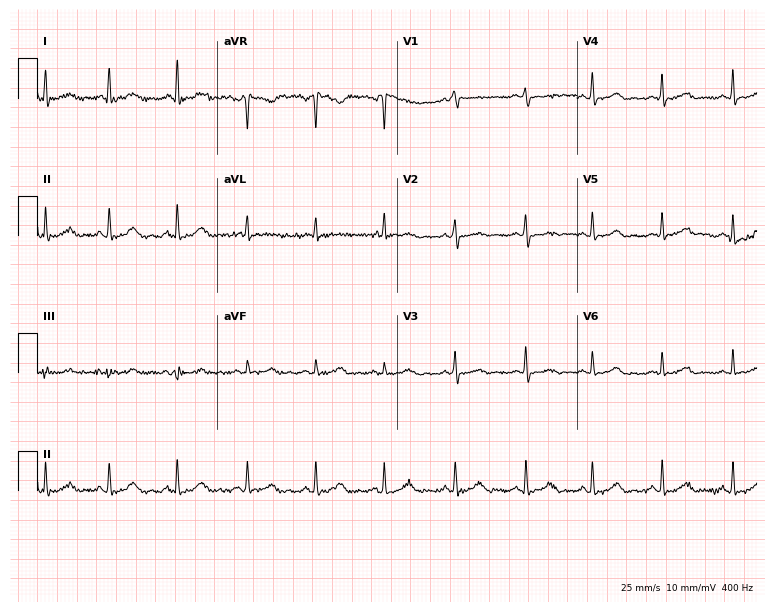
12-lead ECG (7.3-second recording at 400 Hz) from a 37-year-old female. Screened for six findings — first-degree AV block, right bundle branch block (RBBB), left bundle branch block (LBBB), sinus bradycardia, atrial fibrillation (AF), sinus tachycardia — none is recorded. Other findings, if any, are not listed.